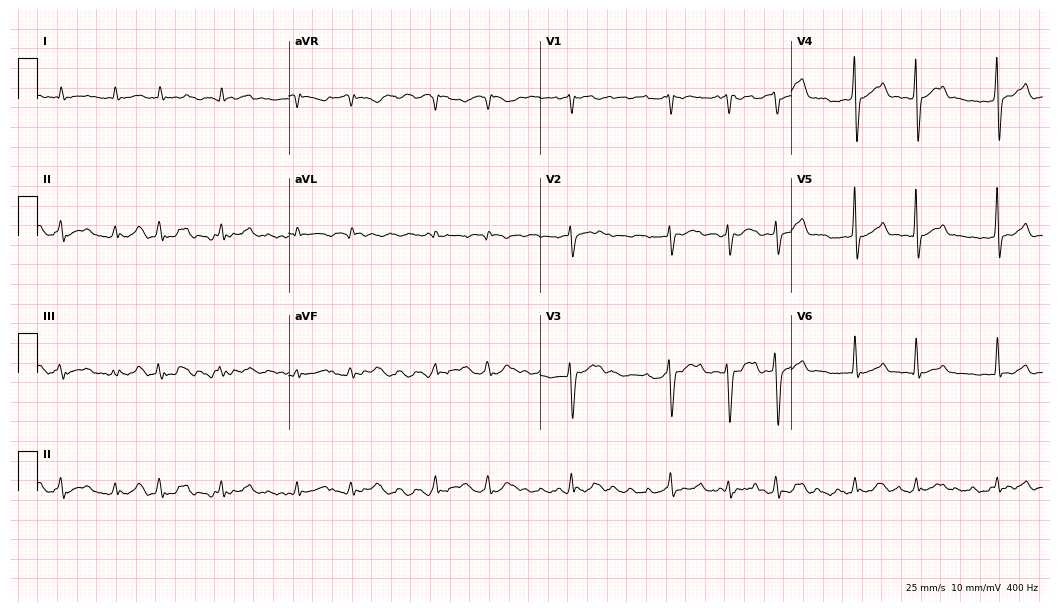
ECG — an 81-year-old male patient. Findings include atrial fibrillation (AF).